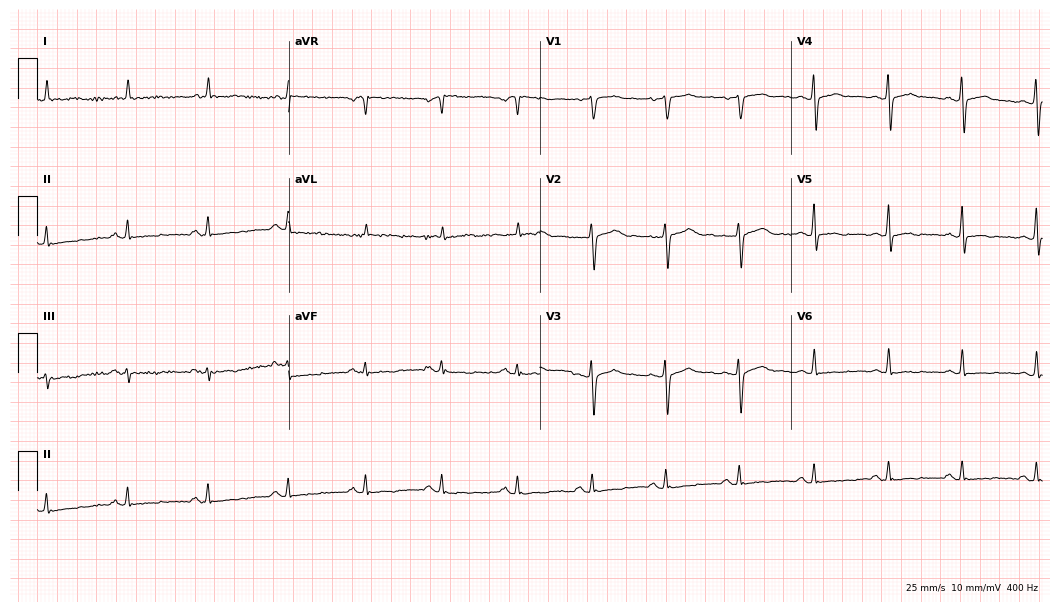
ECG — a 63-year-old man. Screened for six findings — first-degree AV block, right bundle branch block (RBBB), left bundle branch block (LBBB), sinus bradycardia, atrial fibrillation (AF), sinus tachycardia — none is recorded.